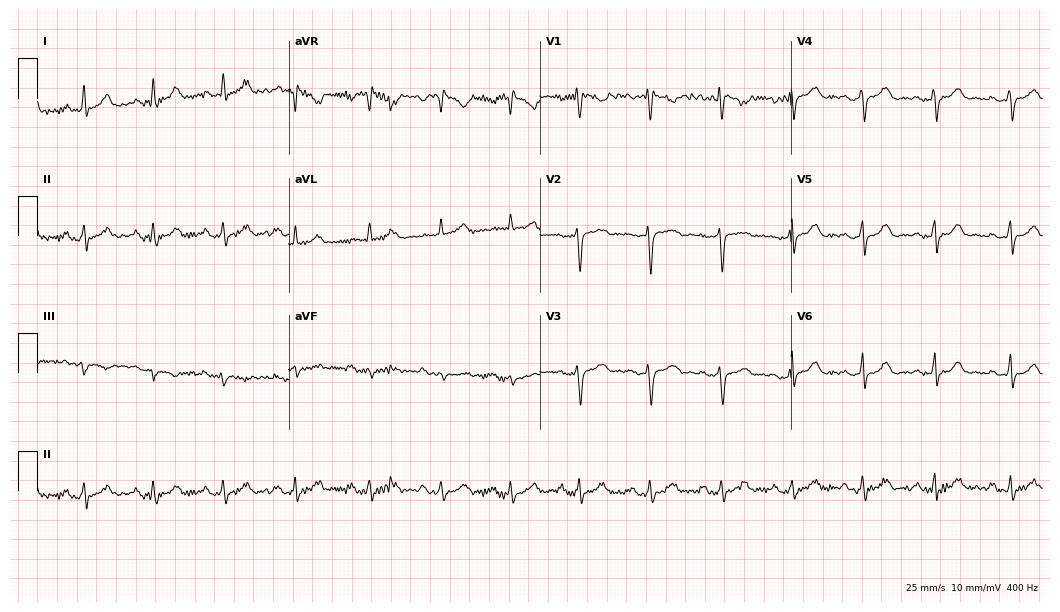
Electrocardiogram, a female patient, 34 years old. Overall reading on record: normal ECG.